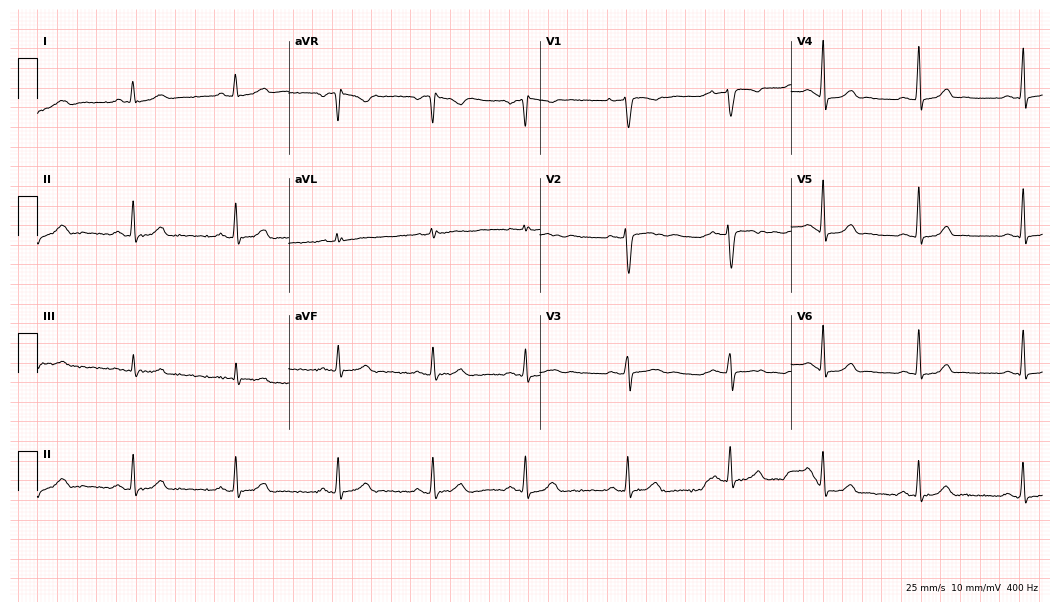
Electrocardiogram, a 29-year-old woman. Overall reading on record: normal ECG.